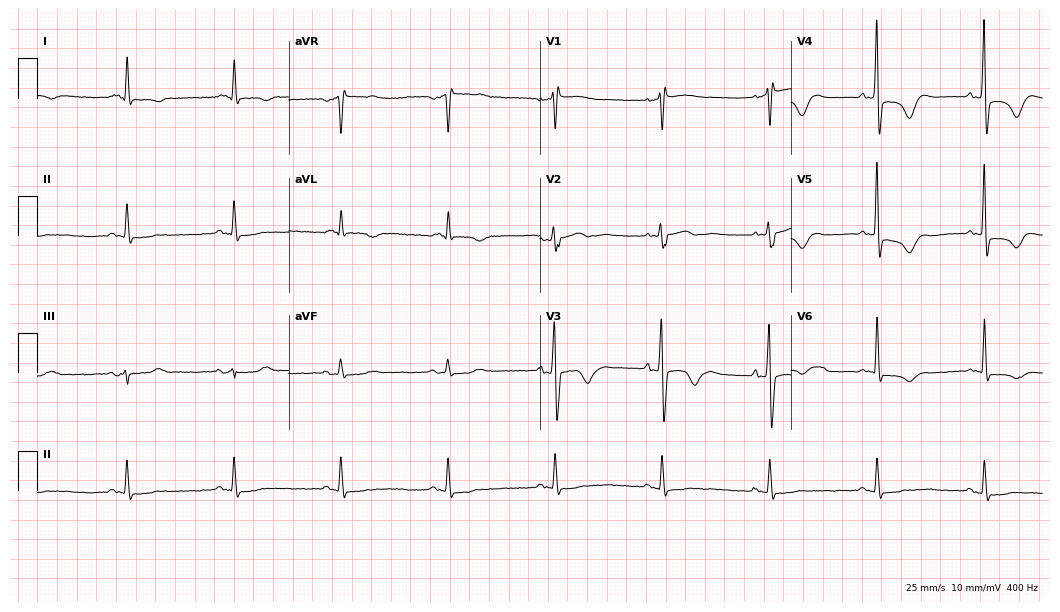
Electrocardiogram, a woman, 78 years old. Overall reading on record: normal ECG.